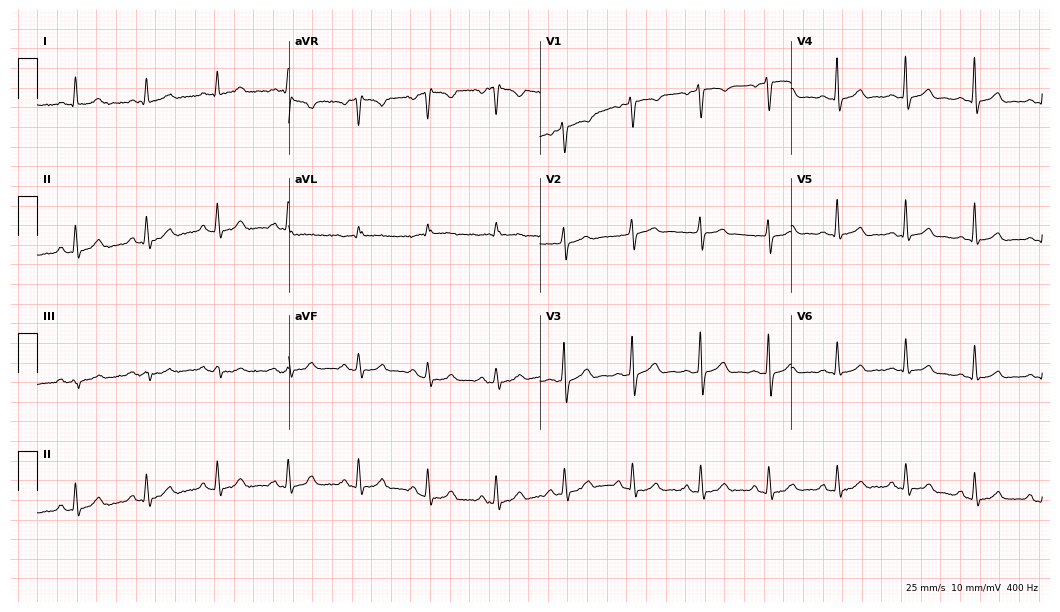
Standard 12-lead ECG recorded from a male, 67 years old. Read as a normal ECG.